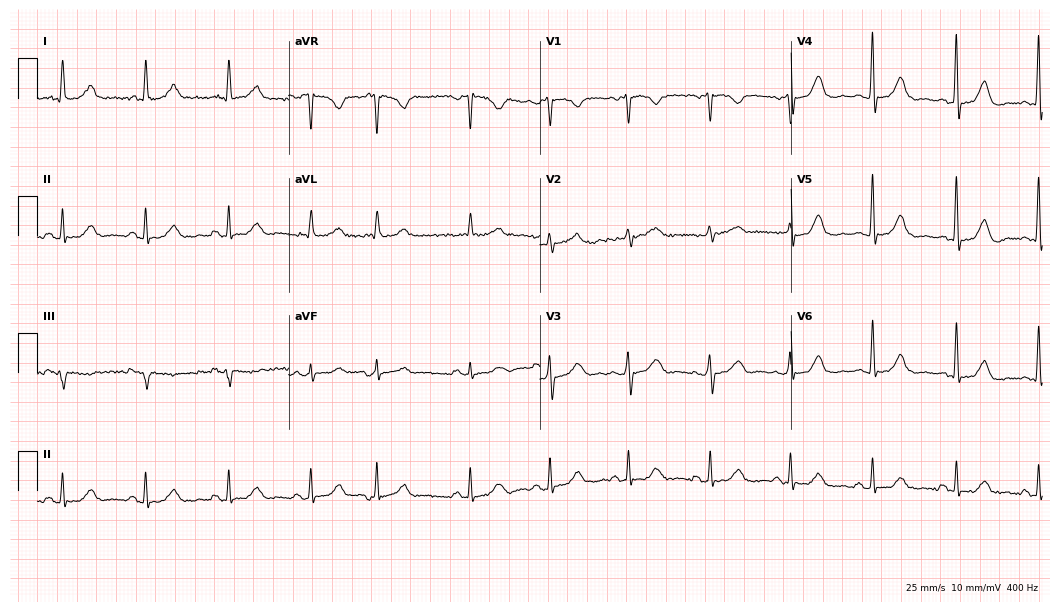
12-lead ECG from a female patient, 67 years old. Labelled as a normal ECG.